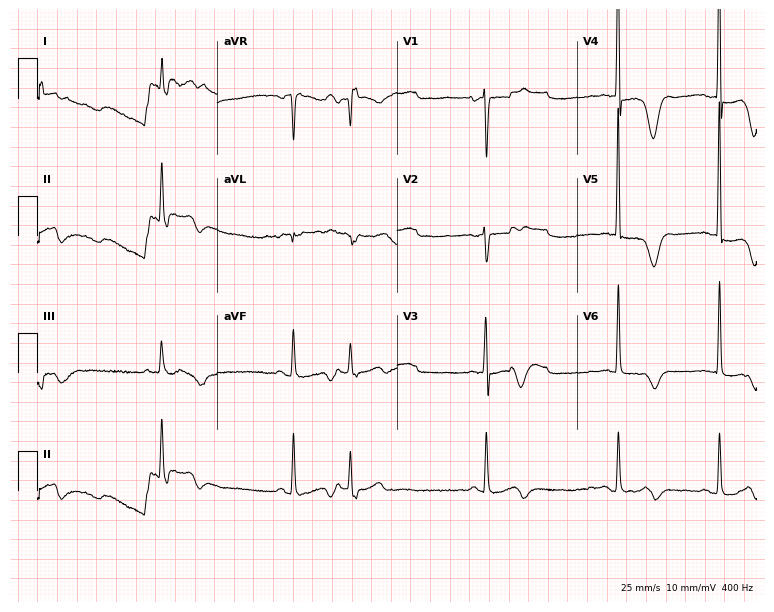
ECG — an 83-year-old female. Screened for six findings — first-degree AV block, right bundle branch block, left bundle branch block, sinus bradycardia, atrial fibrillation, sinus tachycardia — none is recorded.